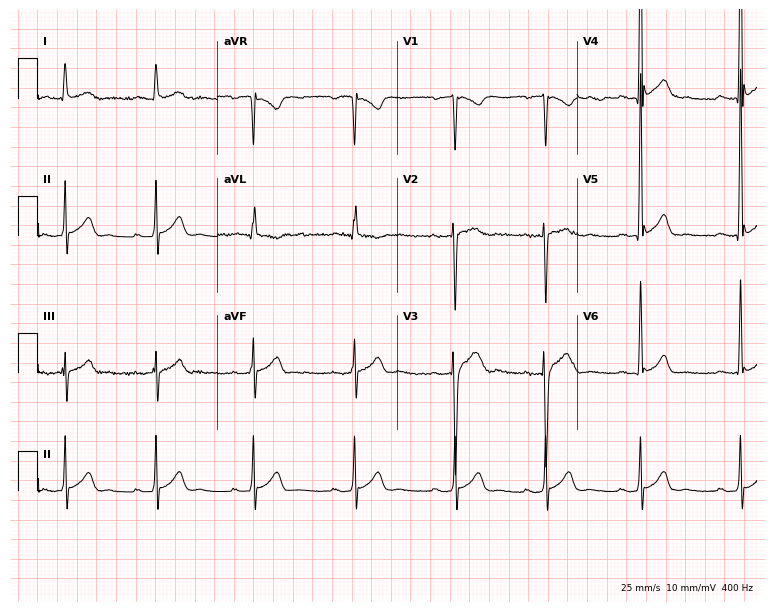
Standard 12-lead ECG recorded from a male patient, 32 years old. Read as a normal ECG.